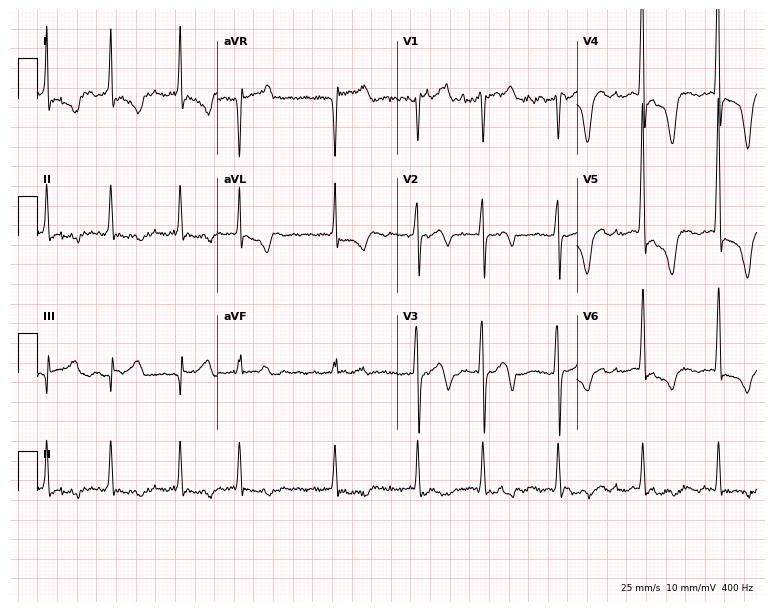
12-lead ECG from a male, 58 years old. Shows atrial fibrillation.